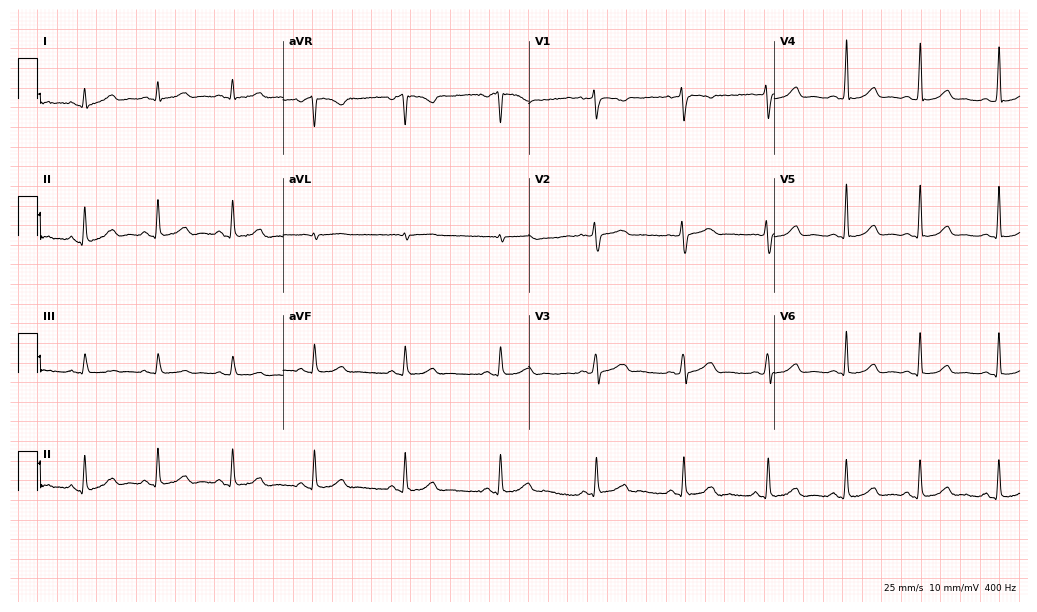
Electrocardiogram, a 25-year-old female. Overall reading on record: normal ECG.